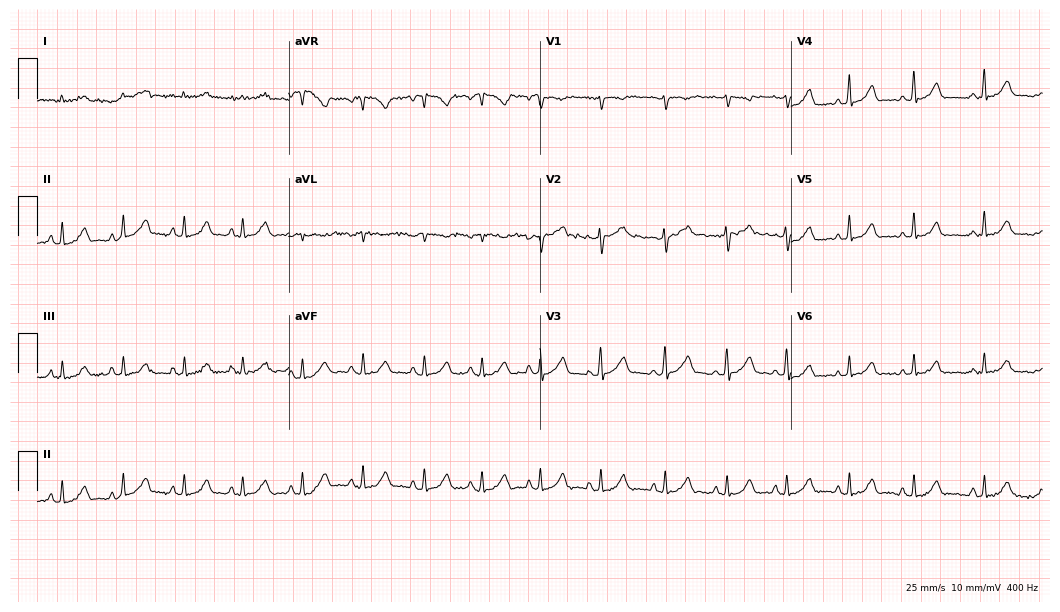
Standard 12-lead ECG recorded from a female patient, 41 years old (10.2-second recording at 400 Hz). Read as a normal ECG.